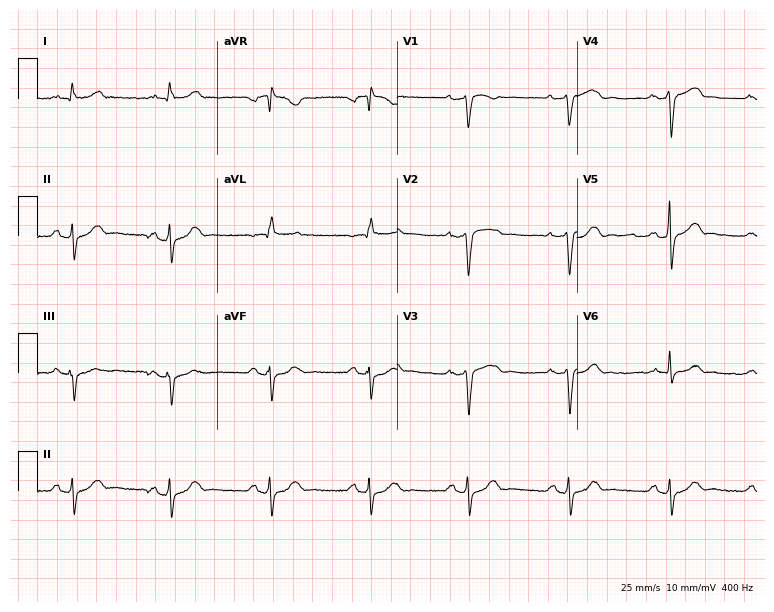
Electrocardiogram, a woman, 43 years old. Of the six screened findings (first-degree AV block, right bundle branch block, left bundle branch block, sinus bradycardia, atrial fibrillation, sinus tachycardia), none is recorded. Only these six findings were labelled.